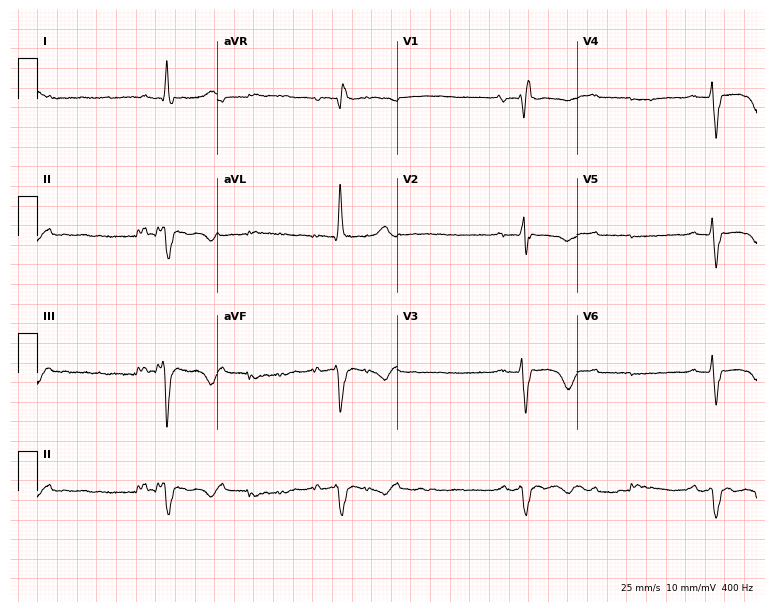
Resting 12-lead electrocardiogram (7.3-second recording at 400 Hz). Patient: a male, 36 years old. The tracing shows right bundle branch block, sinus bradycardia (a sinus rate of 50 beats per minute or less).